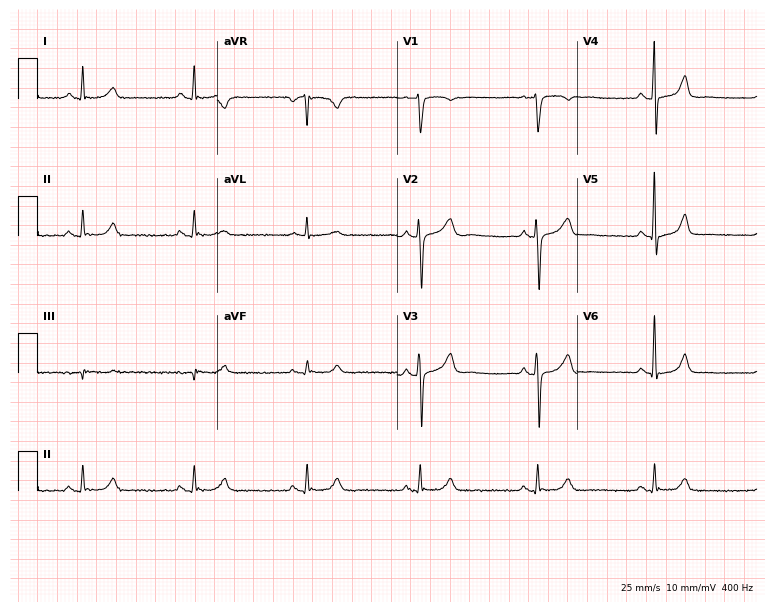
Standard 12-lead ECG recorded from a 66-year-old male. Read as a normal ECG.